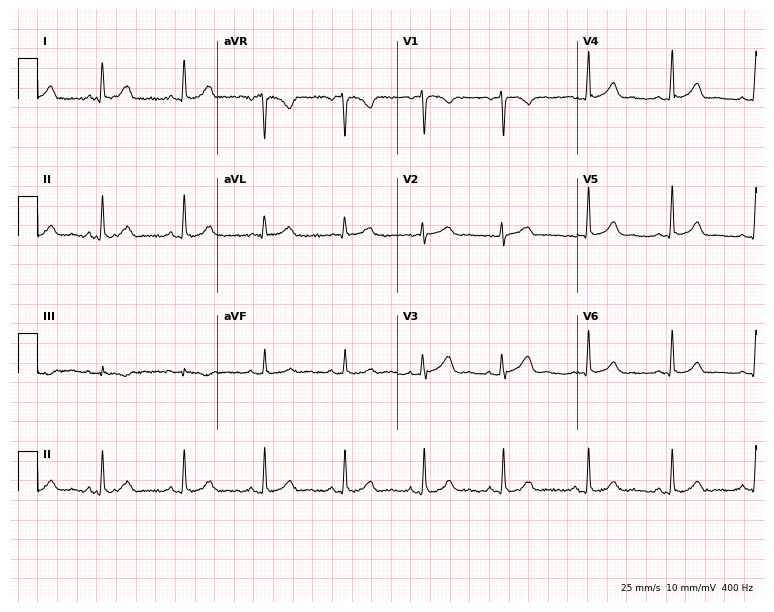
Electrocardiogram (7.3-second recording at 400 Hz), a 38-year-old female patient. Overall reading on record: normal ECG.